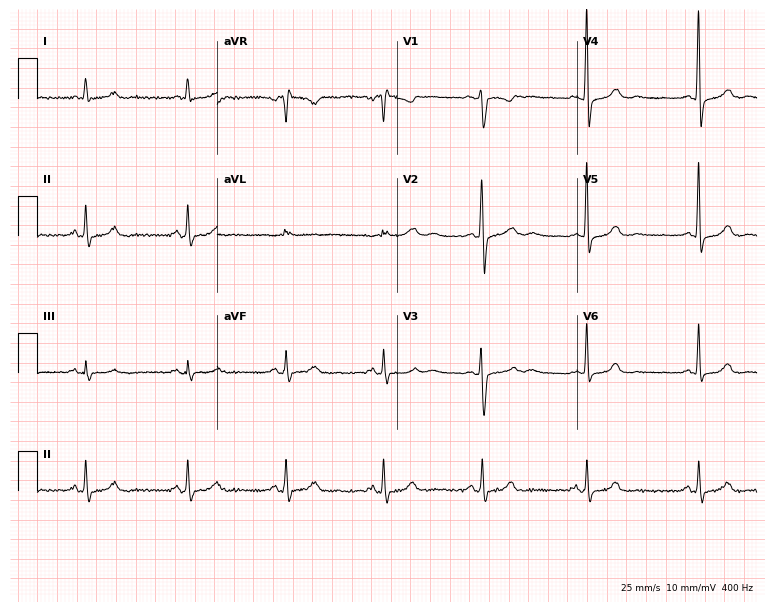
Electrocardiogram (7.3-second recording at 400 Hz), a woman, 53 years old. Overall reading on record: normal ECG.